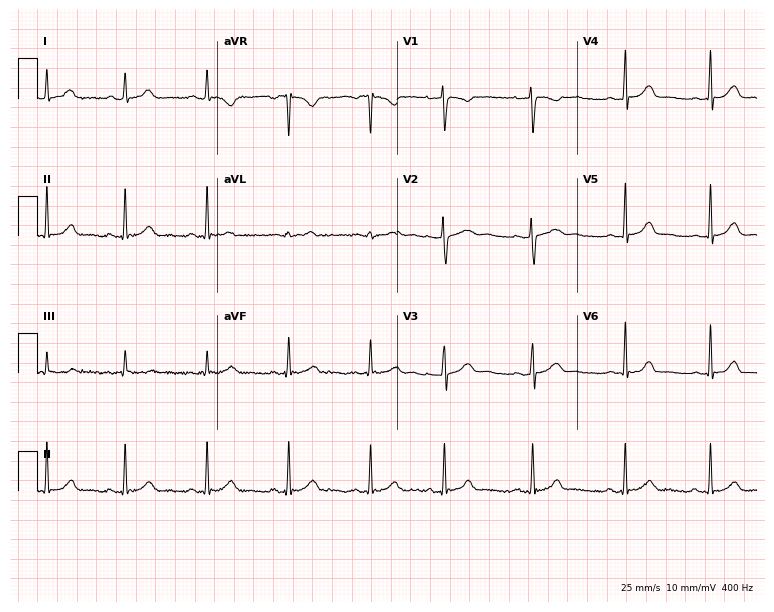
ECG (7.3-second recording at 400 Hz) — a woman, 21 years old. Screened for six findings — first-degree AV block, right bundle branch block, left bundle branch block, sinus bradycardia, atrial fibrillation, sinus tachycardia — none is recorded. Only these six findings were labelled.